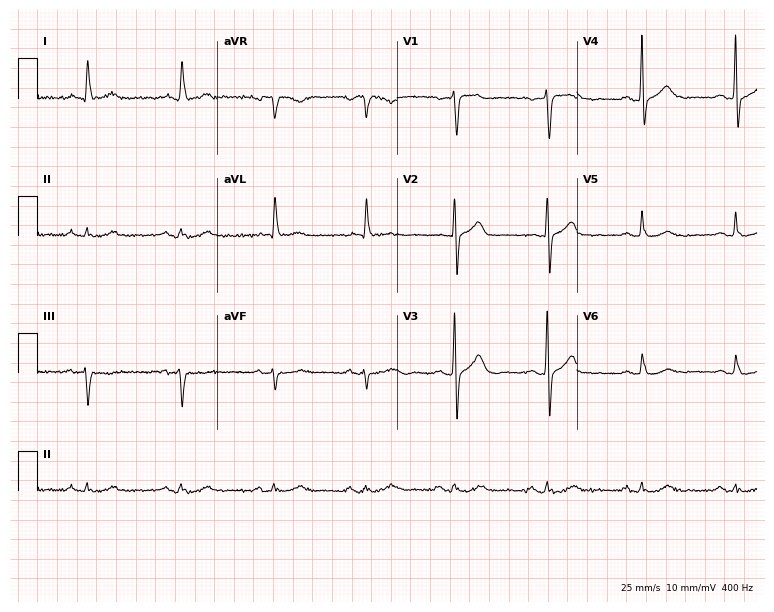
12-lead ECG from a man, 79 years old. Labelled as a normal ECG.